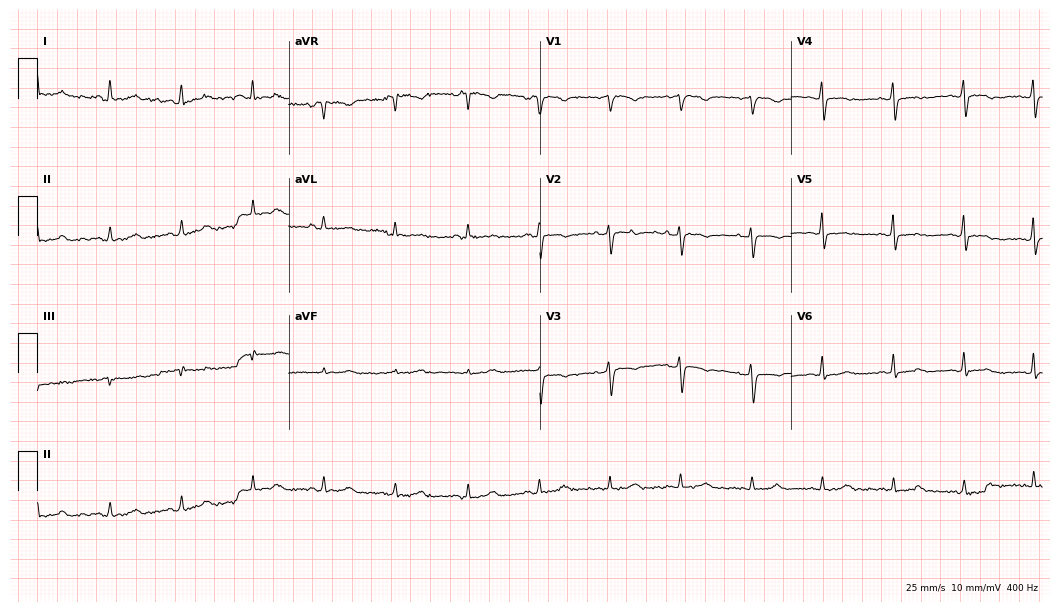
Electrocardiogram, a woman, 51 years old. Of the six screened findings (first-degree AV block, right bundle branch block, left bundle branch block, sinus bradycardia, atrial fibrillation, sinus tachycardia), none is recorded. Only these six findings were labelled.